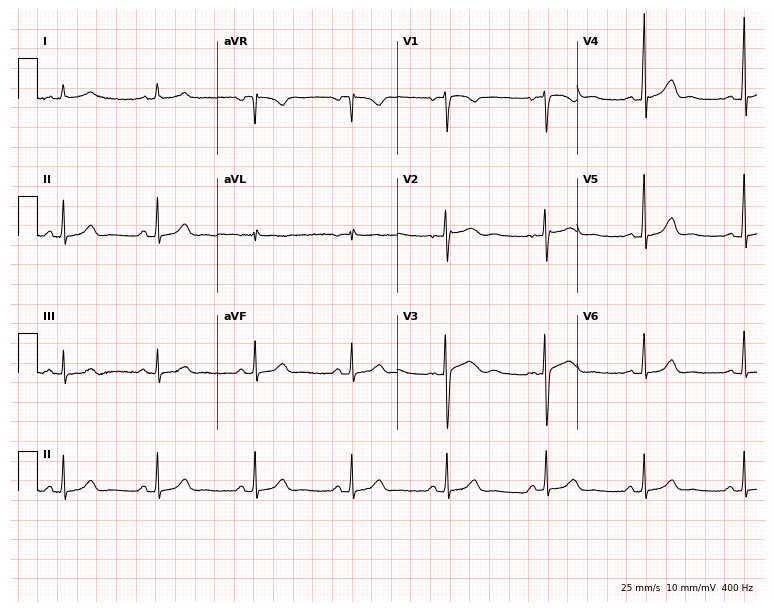
ECG — a woman, 49 years old. Labelled as a normal ECG.